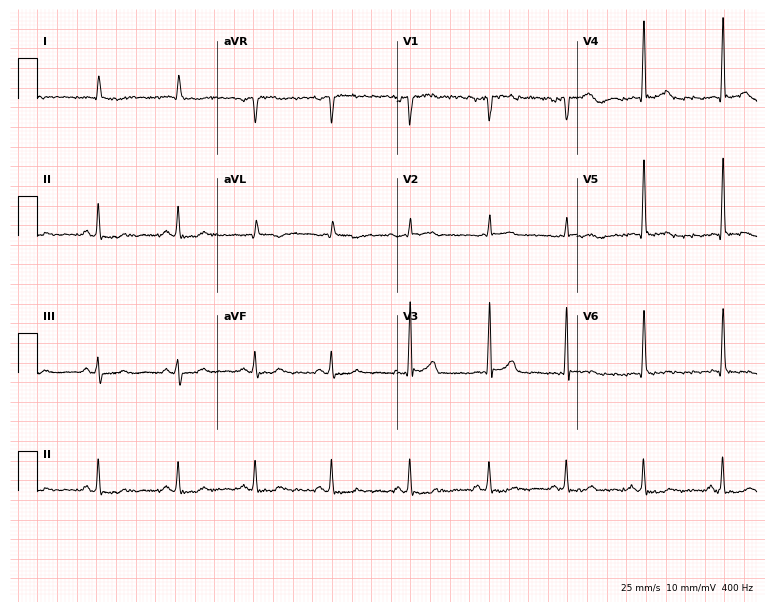
Electrocardiogram, a man, 71 years old. Of the six screened findings (first-degree AV block, right bundle branch block, left bundle branch block, sinus bradycardia, atrial fibrillation, sinus tachycardia), none is recorded.